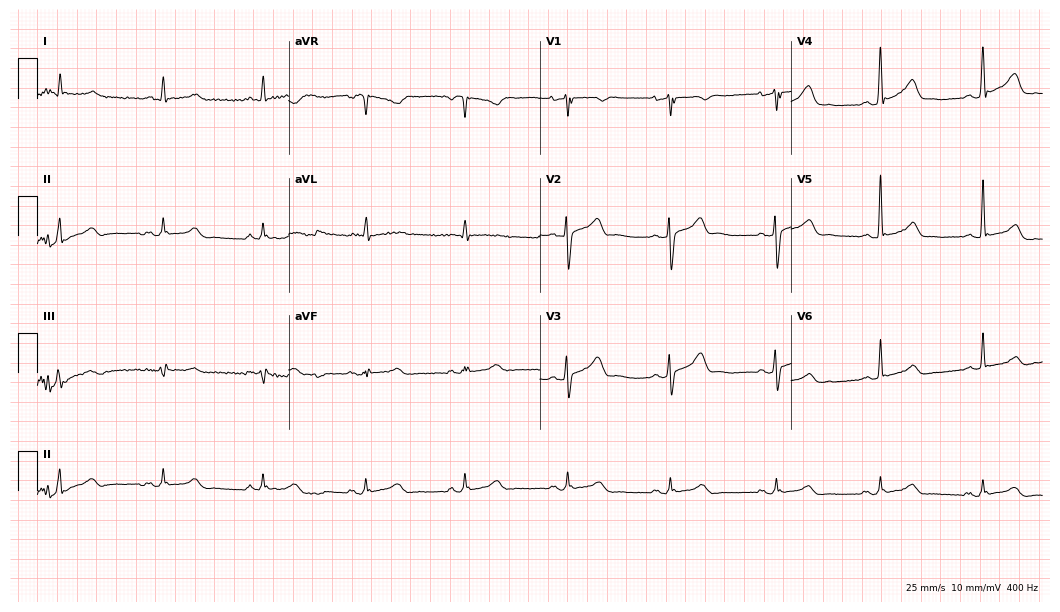
12-lead ECG from a male patient, 60 years old. Recorded interpretation: within normal limits.